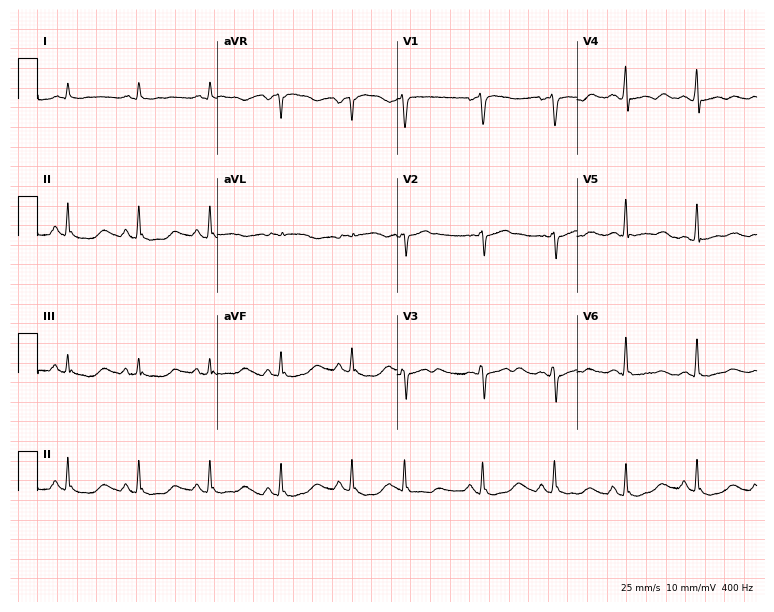
Standard 12-lead ECG recorded from a male patient, 82 years old (7.3-second recording at 400 Hz). None of these six findings is recorded: first-degree AV block, right bundle branch block (RBBB), left bundle branch block (LBBB), sinus bradycardia, atrial fibrillation (AF), sinus tachycardia. Only these six findings were labelled.